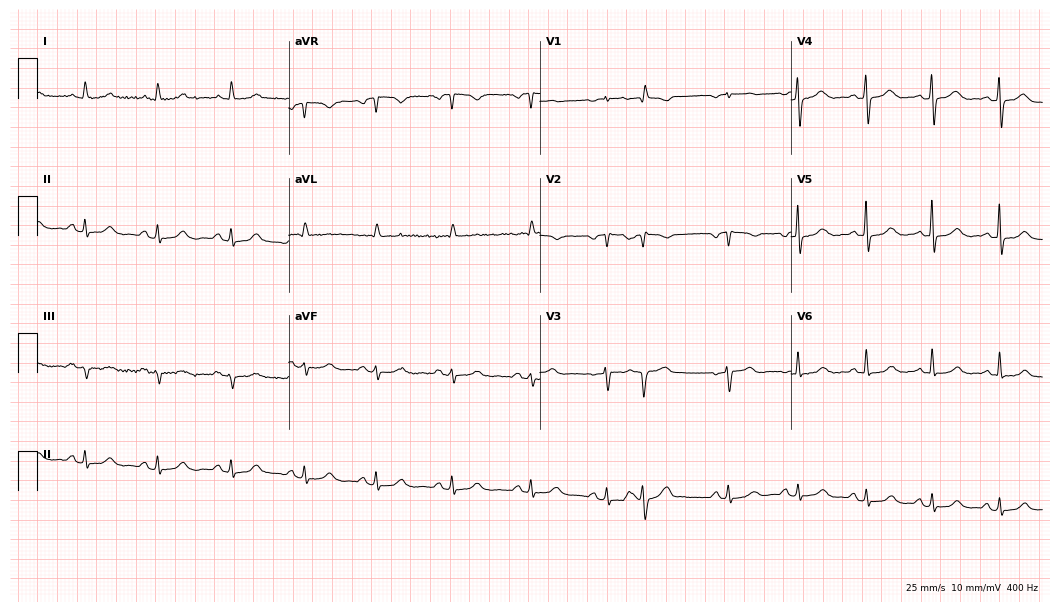
12-lead ECG from a 50-year-old woman (10.2-second recording at 400 Hz). No first-degree AV block, right bundle branch block (RBBB), left bundle branch block (LBBB), sinus bradycardia, atrial fibrillation (AF) or sinus tachycardia recorded for this tracing. Findings outside these six are not listed.